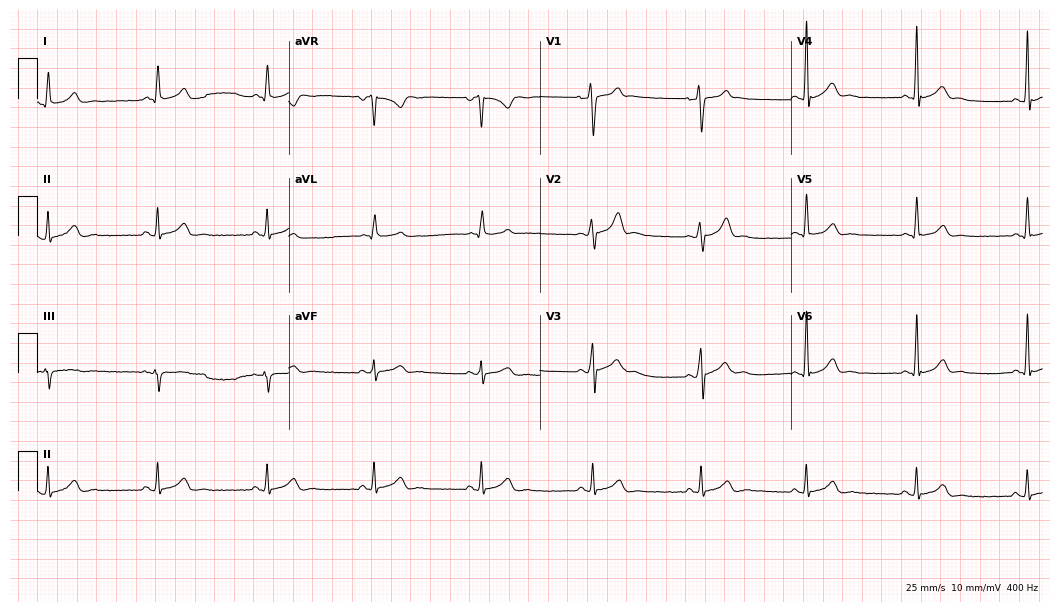
12-lead ECG from a 42-year-old male patient. Labelled as a normal ECG.